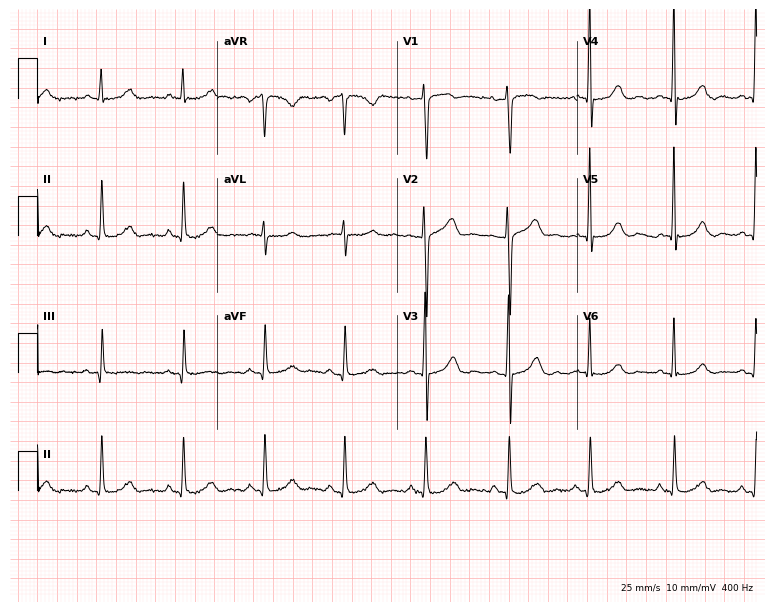
12-lead ECG from a female, 55 years old (7.3-second recording at 400 Hz). No first-degree AV block, right bundle branch block (RBBB), left bundle branch block (LBBB), sinus bradycardia, atrial fibrillation (AF) or sinus tachycardia recorded for this tracing.